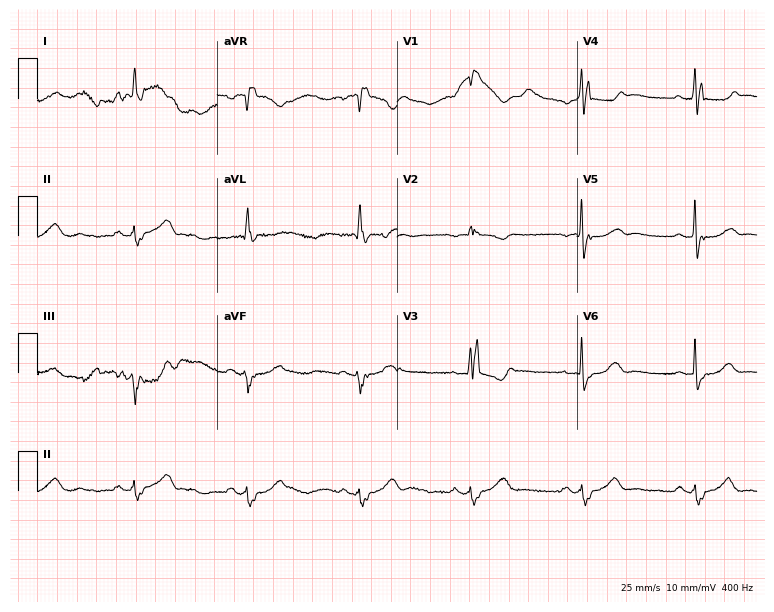
12-lead ECG from a 79-year-old female patient (7.3-second recording at 400 Hz). Shows right bundle branch block.